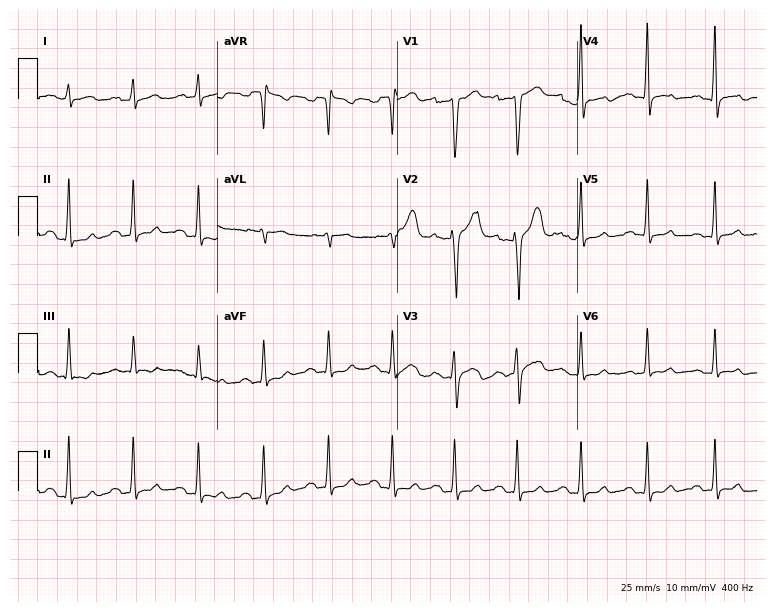
Resting 12-lead electrocardiogram (7.3-second recording at 400 Hz). Patient: a male, 39 years old. The tracing shows first-degree AV block.